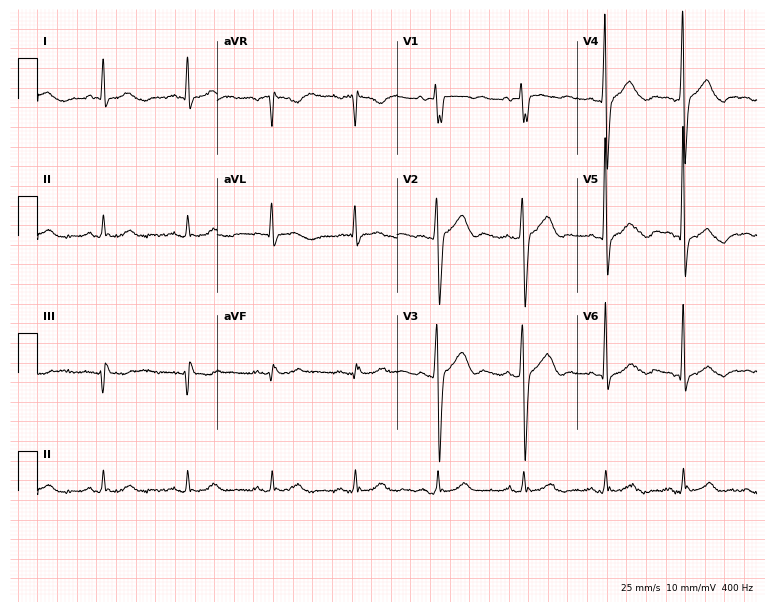
12-lead ECG from a 63-year-old man (7.3-second recording at 400 Hz). No first-degree AV block, right bundle branch block, left bundle branch block, sinus bradycardia, atrial fibrillation or sinus tachycardia recorded for this tracing.